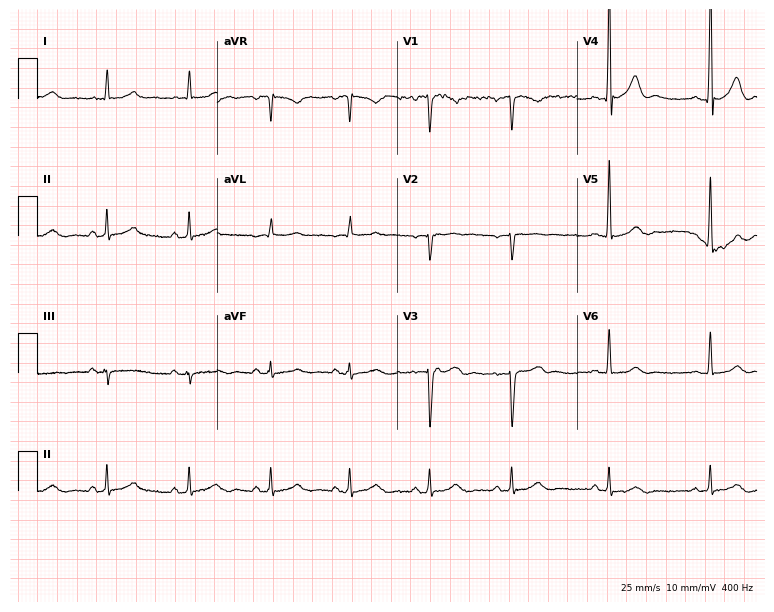
ECG (7.3-second recording at 400 Hz) — a male, 45 years old. Labelled as a normal ECG.